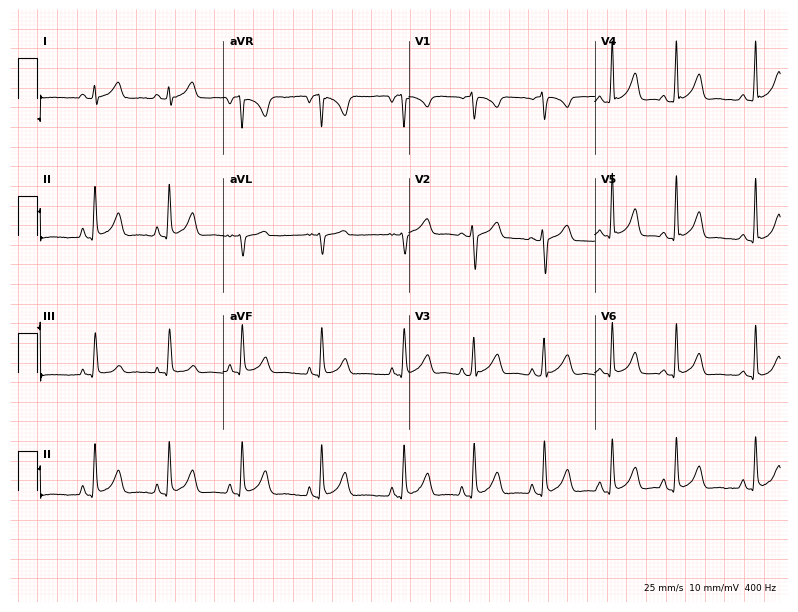
12-lead ECG (7.6-second recording at 400 Hz) from an 18-year-old female. Labelled as a normal ECG.